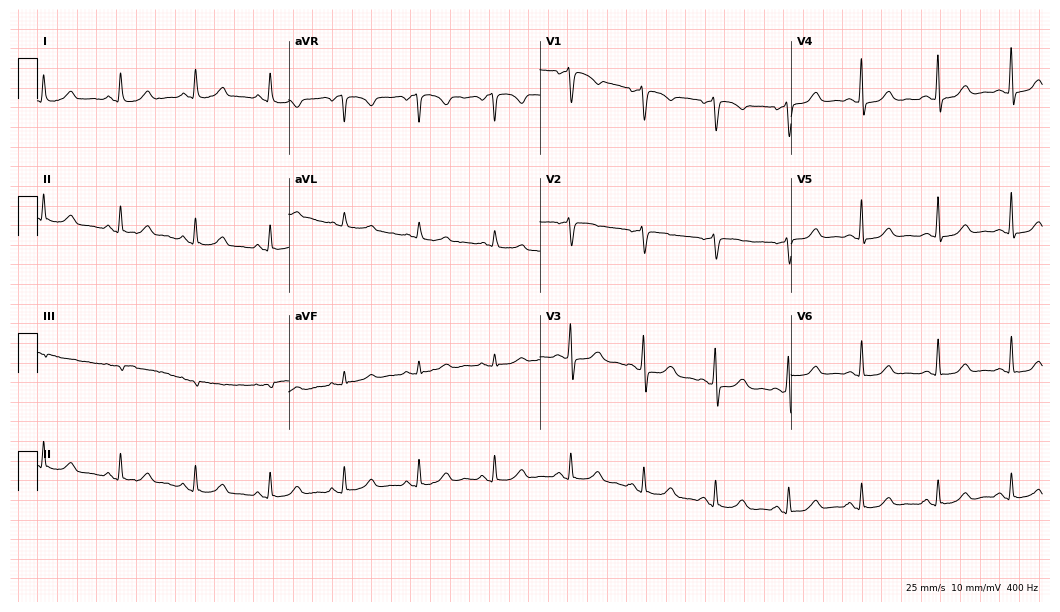
12-lead ECG from a 61-year-old woman (10.2-second recording at 400 Hz). No first-degree AV block, right bundle branch block, left bundle branch block, sinus bradycardia, atrial fibrillation or sinus tachycardia recorded for this tracing.